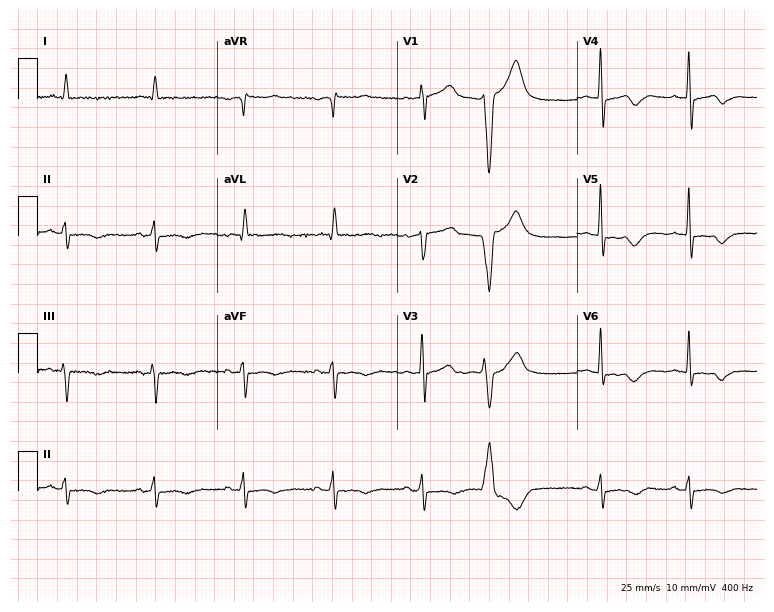
Electrocardiogram (7.3-second recording at 400 Hz), a male, 70 years old. Of the six screened findings (first-degree AV block, right bundle branch block, left bundle branch block, sinus bradycardia, atrial fibrillation, sinus tachycardia), none is recorded.